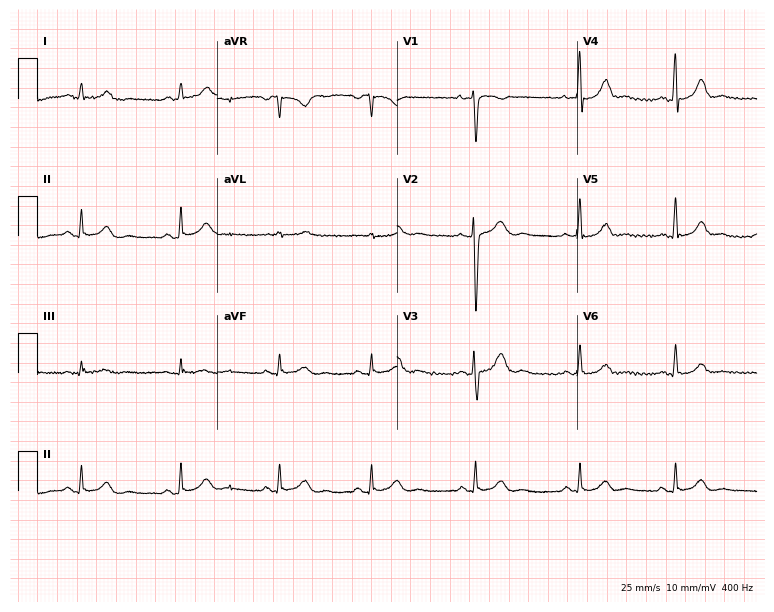
12-lead ECG (7.3-second recording at 400 Hz) from a female patient, 38 years old. Screened for six findings — first-degree AV block, right bundle branch block, left bundle branch block, sinus bradycardia, atrial fibrillation, sinus tachycardia — none is recorded.